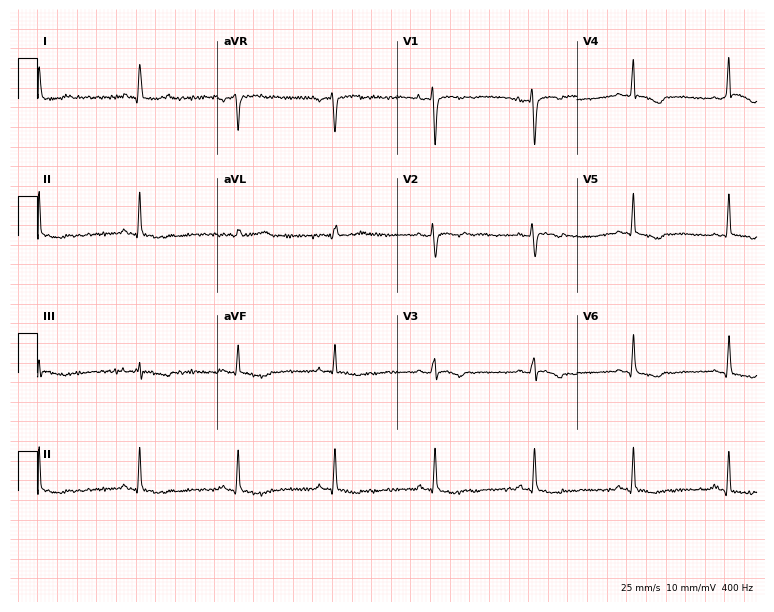
Resting 12-lead electrocardiogram. Patient: a 32-year-old female. None of these six findings is recorded: first-degree AV block, right bundle branch block, left bundle branch block, sinus bradycardia, atrial fibrillation, sinus tachycardia. Only these six findings were labelled.